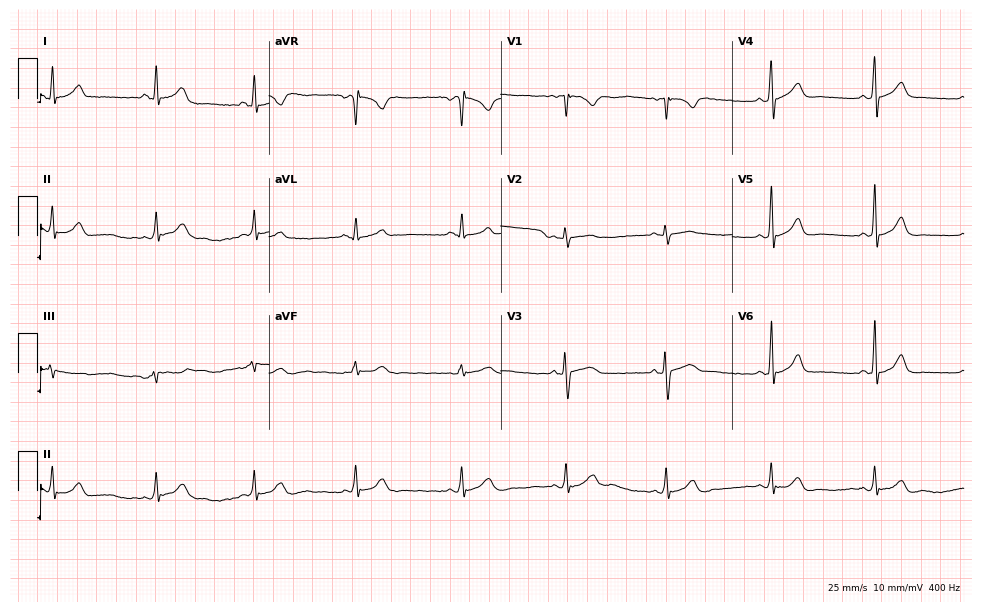
Standard 12-lead ECG recorded from a woman, 30 years old. Read as a normal ECG.